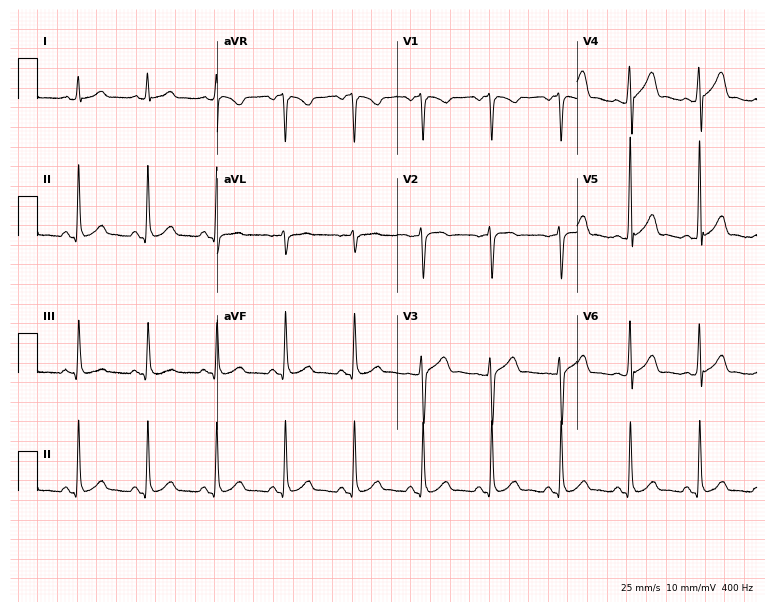
12-lead ECG from a 46-year-old male patient (7.3-second recording at 400 Hz). Recorded interpretation: within normal limits.